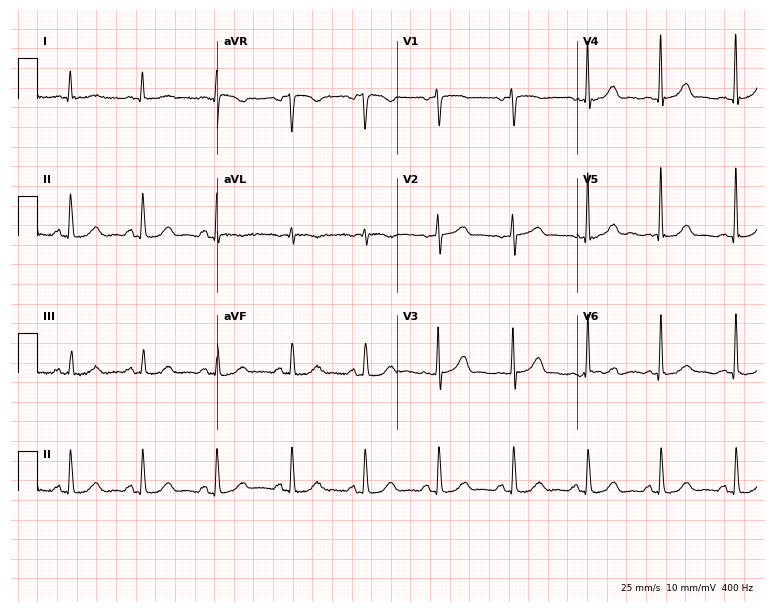
Electrocardiogram, a female, 56 years old. Overall reading on record: normal ECG.